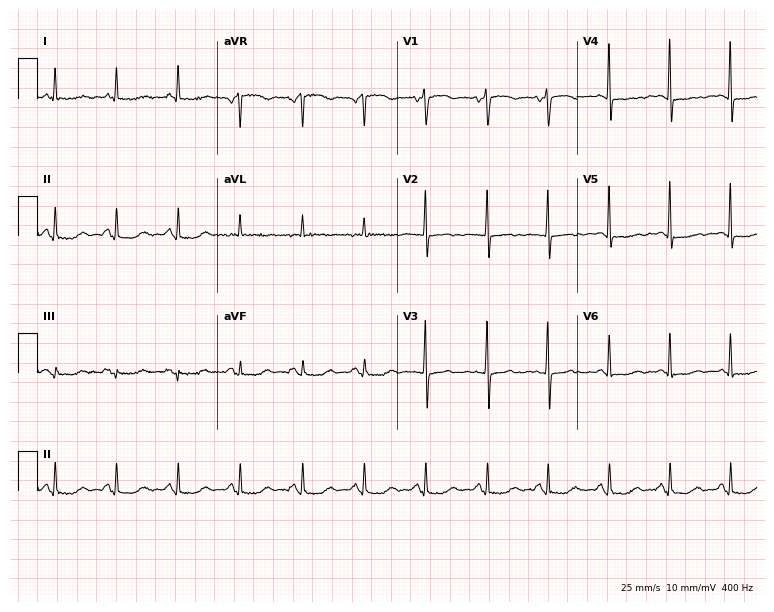
Standard 12-lead ECG recorded from a 69-year-old woman (7.3-second recording at 400 Hz). None of these six findings is recorded: first-degree AV block, right bundle branch block, left bundle branch block, sinus bradycardia, atrial fibrillation, sinus tachycardia.